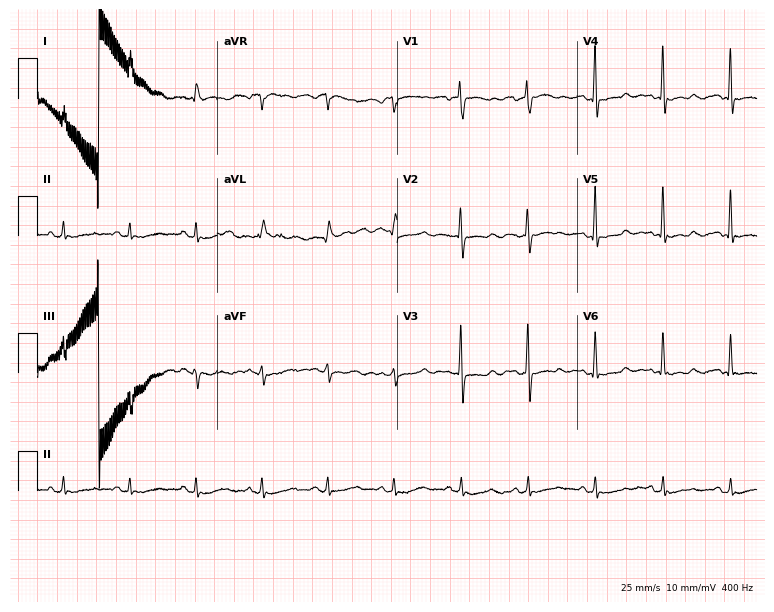
12-lead ECG (7.3-second recording at 400 Hz) from a female patient, 74 years old. Screened for six findings — first-degree AV block, right bundle branch block, left bundle branch block, sinus bradycardia, atrial fibrillation, sinus tachycardia — none is recorded. Findings outside these six are not listed.